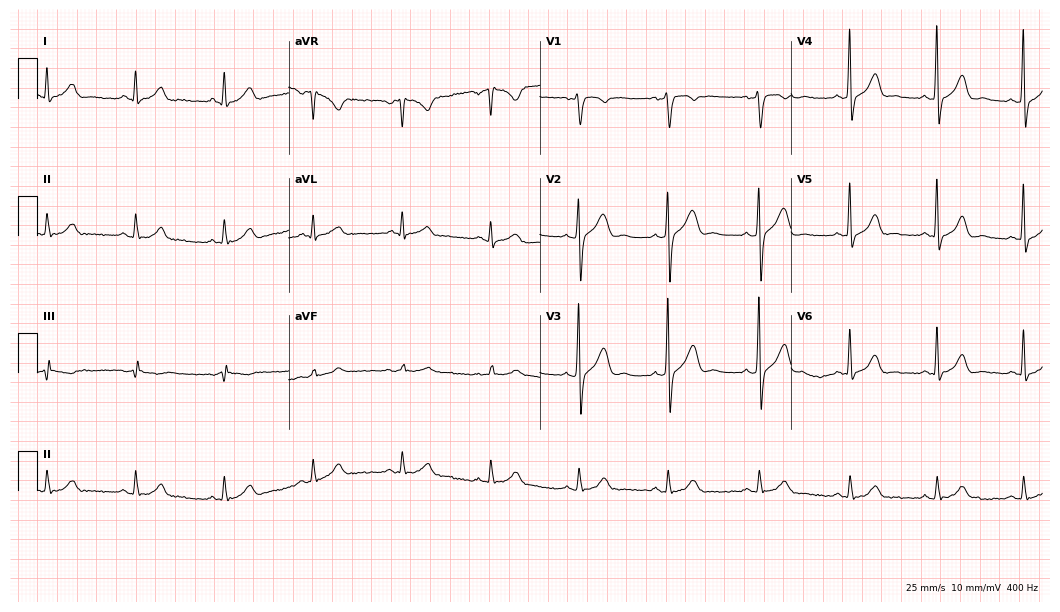
12-lead ECG (10.2-second recording at 400 Hz) from a 49-year-old man. Labelled as a normal ECG.